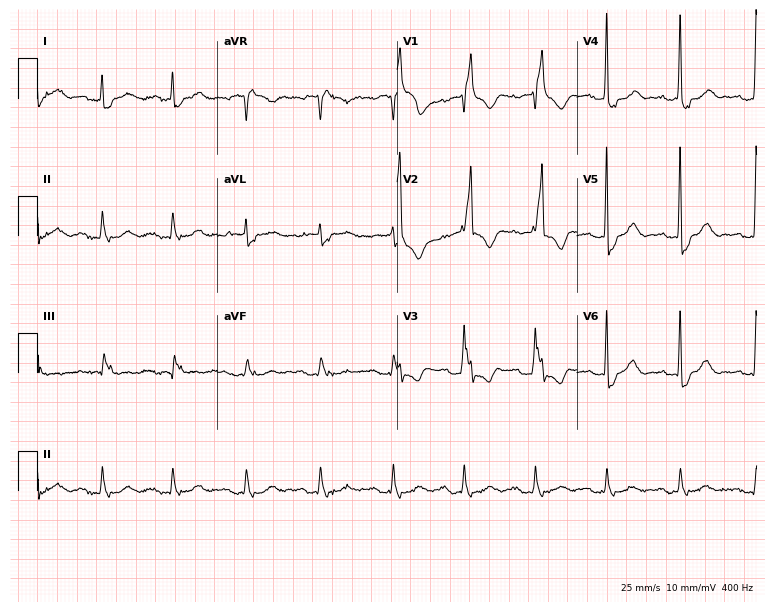
Standard 12-lead ECG recorded from an 81-year-old male patient. The tracing shows right bundle branch block (RBBB).